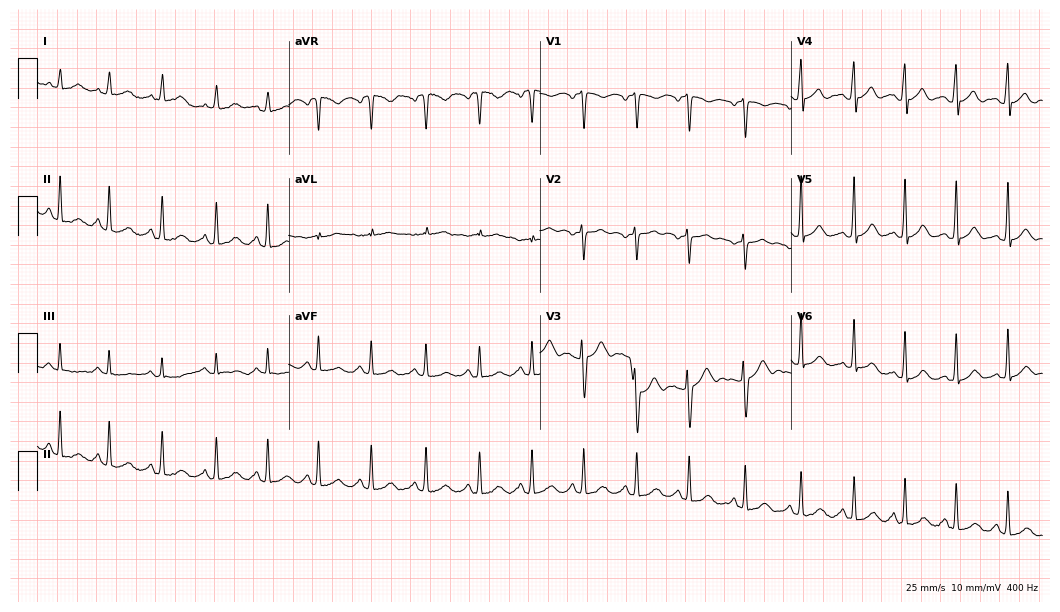
12-lead ECG (10.2-second recording at 400 Hz) from a 17-year-old woman. Screened for six findings — first-degree AV block, right bundle branch block (RBBB), left bundle branch block (LBBB), sinus bradycardia, atrial fibrillation (AF), sinus tachycardia — none is recorded.